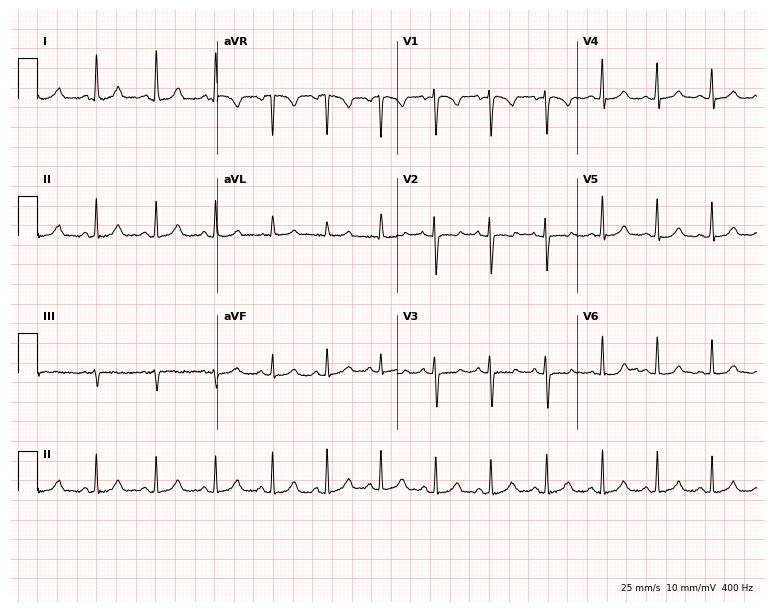
12-lead ECG from a female, 19 years old. Recorded interpretation: within normal limits.